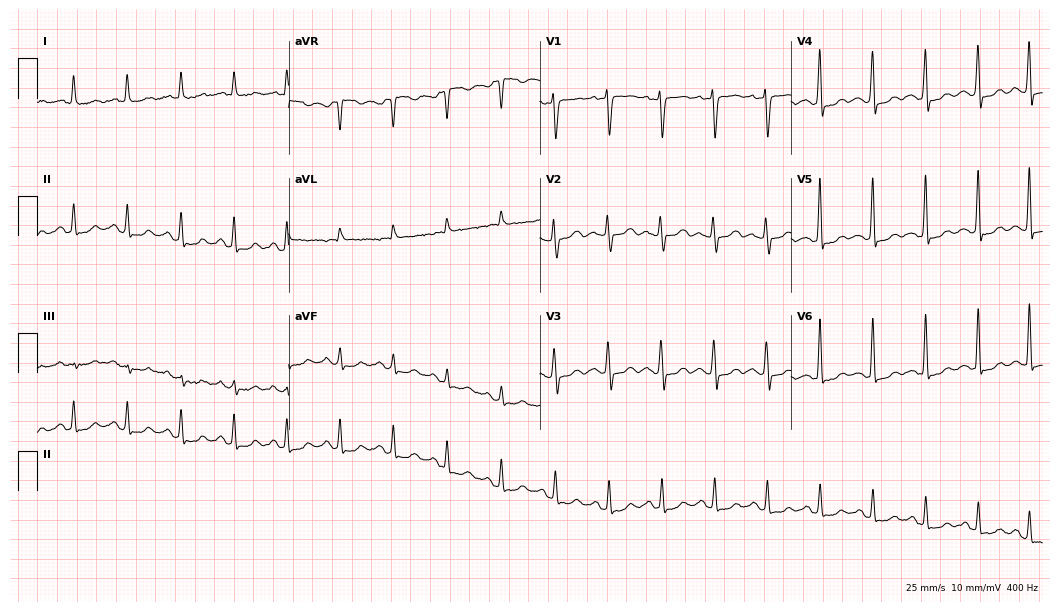
Standard 12-lead ECG recorded from a woman, 51 years old (10.2-second recording at 400 Hz). The tracing shows sinus tachycardia (a sinus rate of 100 beats per minute or more).